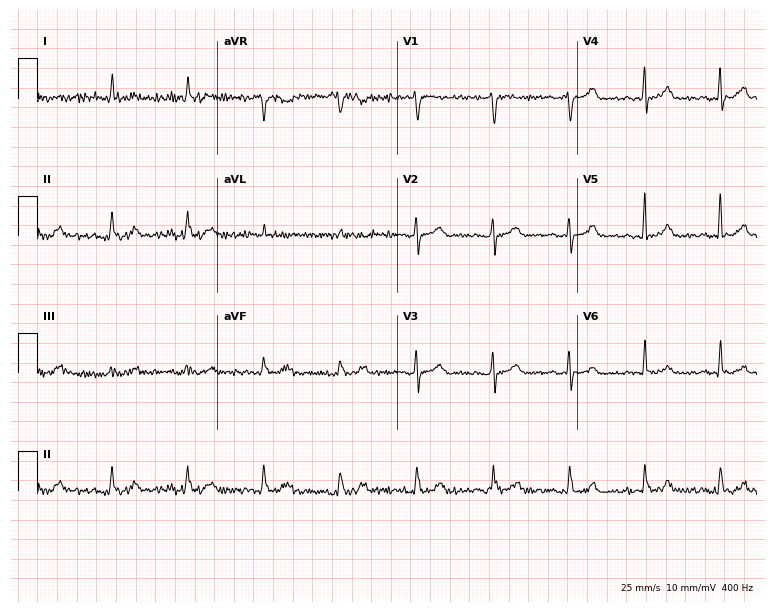
ECG — an 80-year-old male. Screened for six findings — first-degree AV block, right bundle branch block, left bundle branch block, sinus bradycardia, atrial fibrillation, sinus tachycardia — none is recorded. Findings outside these six are not listed.